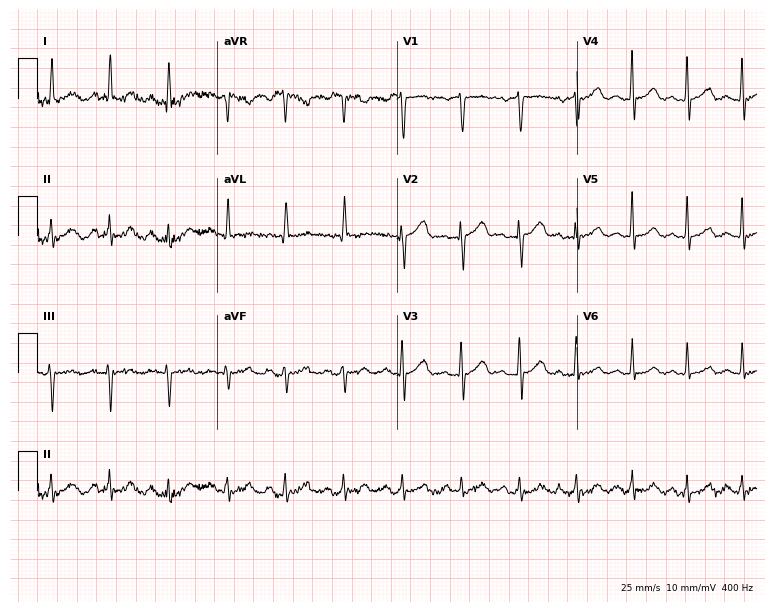
Resting 12-lead electrocardiogram (7.3-second recording at 400 Hz). Patient: a 48-year-old male. The tracing shows sinus tachycardia (a sinus rate of 100 beats per minute or more).